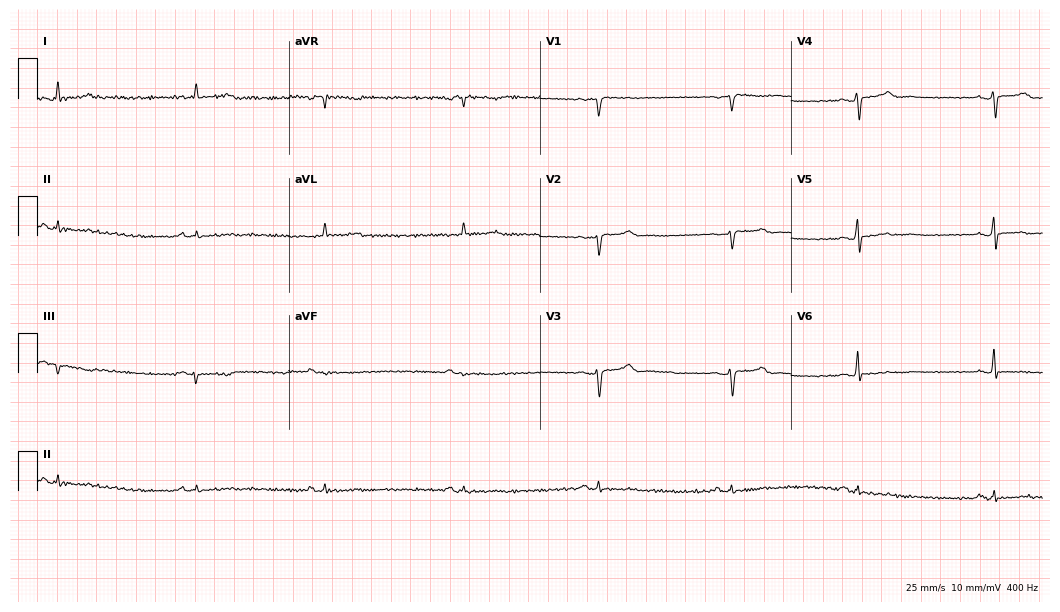
12-lead ECG from a 30-year-old woman. No first-degree AV block, right bundle branch block, left bundle branch block, sinus bradycardia, atrial fibrillation or sinus tachycardia recorded for this tracing.